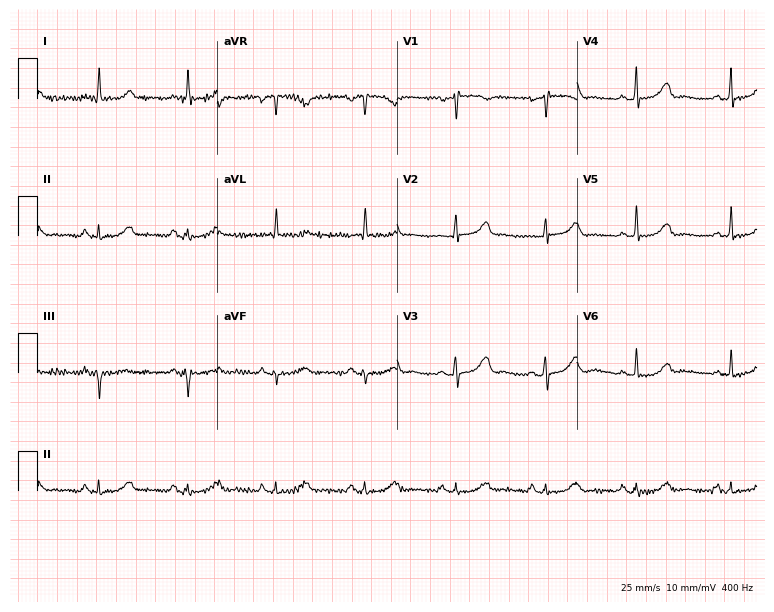
ECG (7.3-second recording at 400 Hz) — a woman, 68 years old. Labelled as a normal ECG.